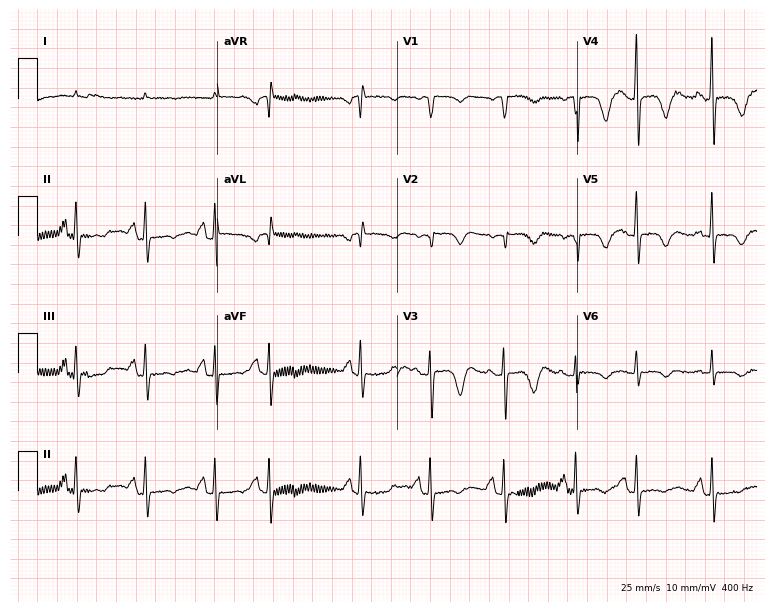
12-lead ECG (7.3-second recording at 400 Hz) from a man, 79 years old. Screened for six findings — first-degree AV block, right bundle branch block, left bundle branch block, sinus bradycardia, atrial fibrillation, sinus tachycardia — none is recorded. Findings outside these six are not listed.